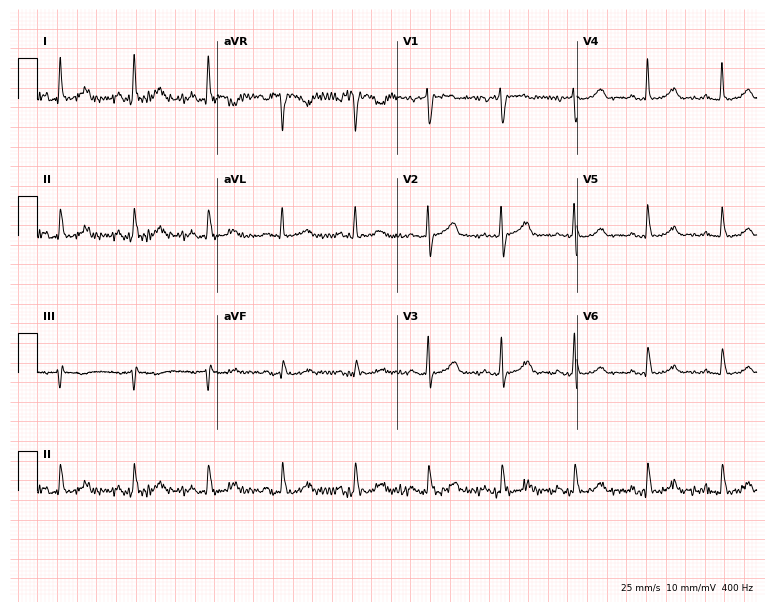
12-lead ECG (7.3-second recording at 400 Hz) from a 65-year-old female. Labelled as a normal ECG.